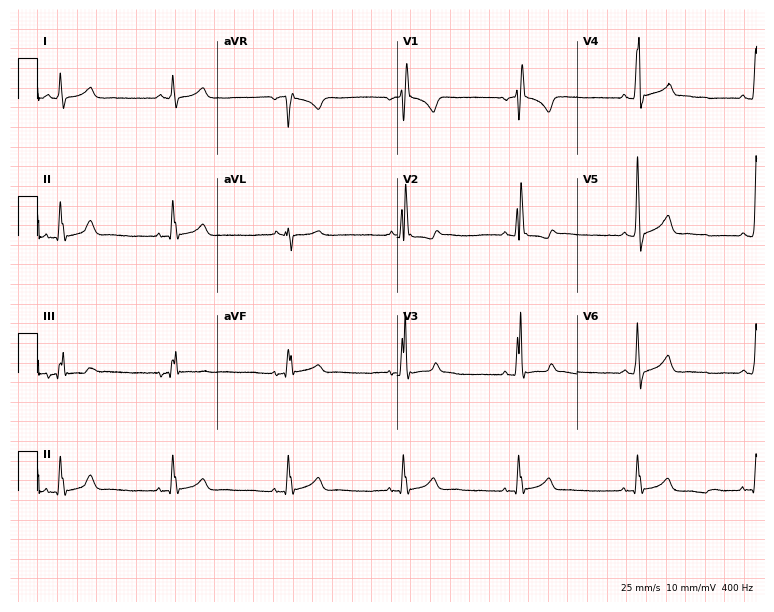
12-lead ECG from a 40-year-old male. Screened for six findings — first-degree AV block, right bundle branch block, left bundle branch block, sinus bradycardia, atrial fibrillation, sinus tachycardia — none is recorded.